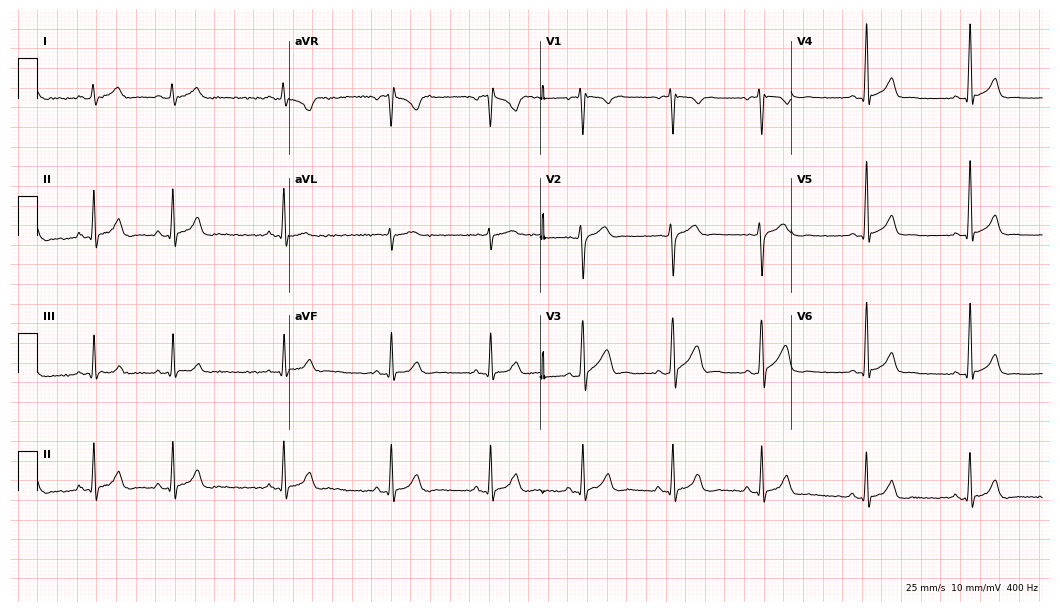
12-lead ECG from a 33-year-old man. Labelled as a normal ECG.